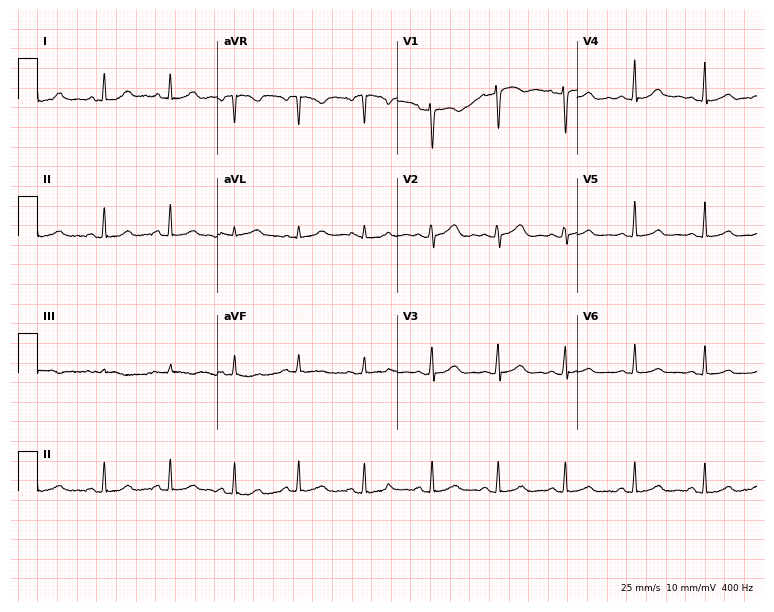
12-lead ECG from a 52-year-old female. Recorded interpretation: within normal limits.